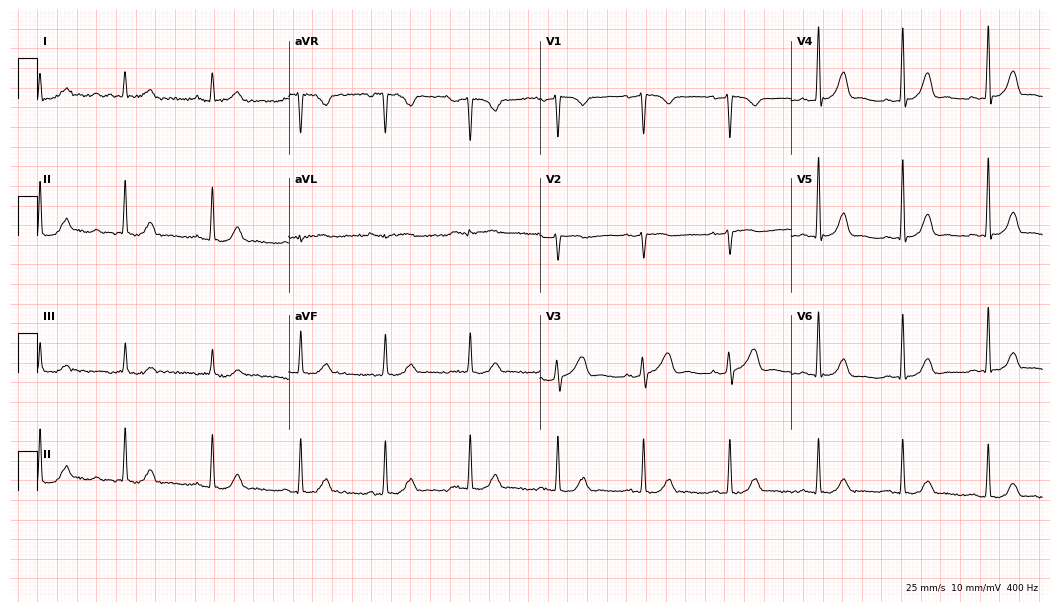
12-lead ECG from a female patient, 31 years old (10.2-second recording at 400 Hz). No first-degree AV block, right bundle branch block (RBBB), left bundle branch block (LBBB), sinus bradycardia, atrial fibrillation (AF) or sinus tachycardia recorded for this tracing. Findings outside these six are not listed.